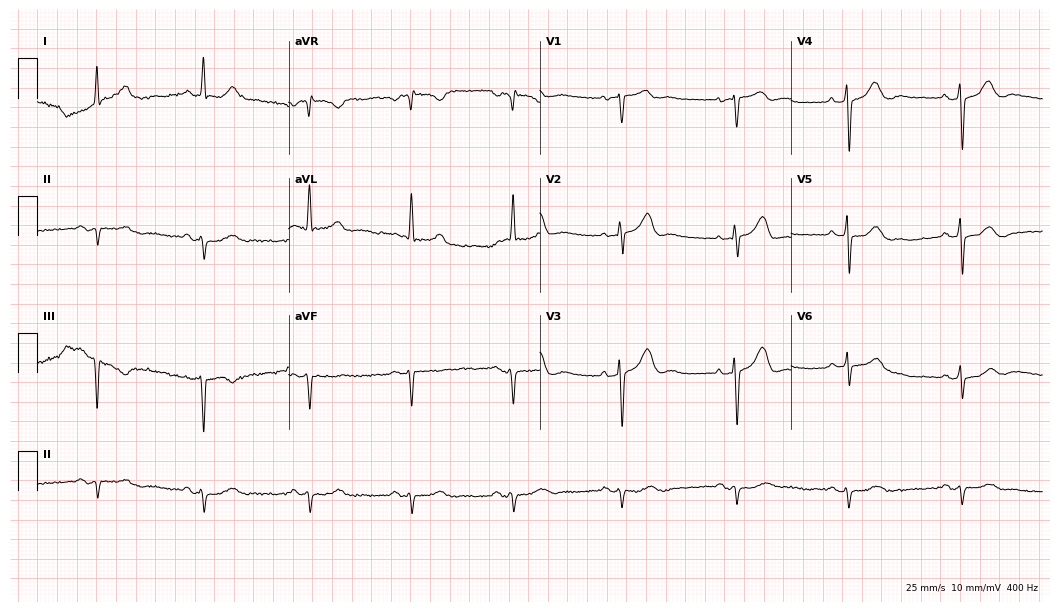
Standard 12-lead ECG recorded from a 72-year-old man (10.2-second recording at 400 Hz). None of these six findings is recorded: first-degree AV block, right bundle branch block, left bundle branch block, sinus bradycardia, atrial fibrillation, sinus tachycardia. Findings outside these six are not listed.